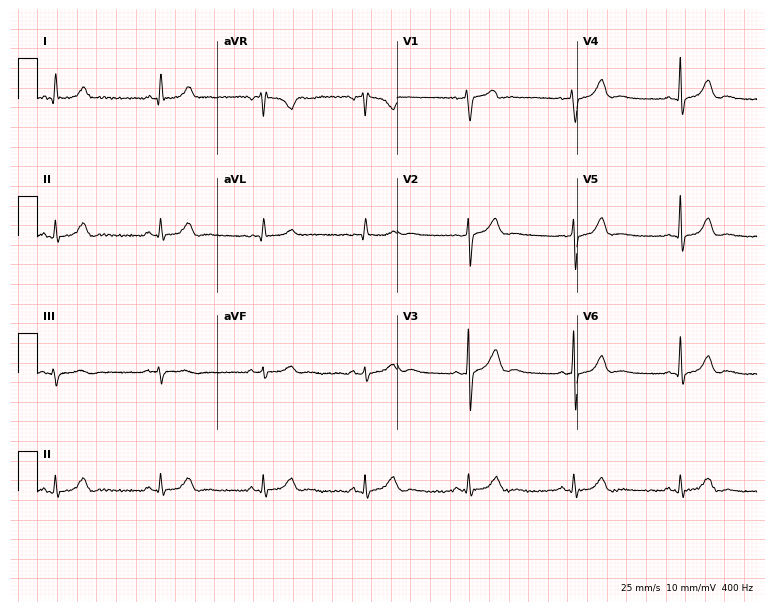
12-lead ECG from a male, 61 years old (7.3-second recording at 400 Hz). Recorded interpretation: within normal limits.